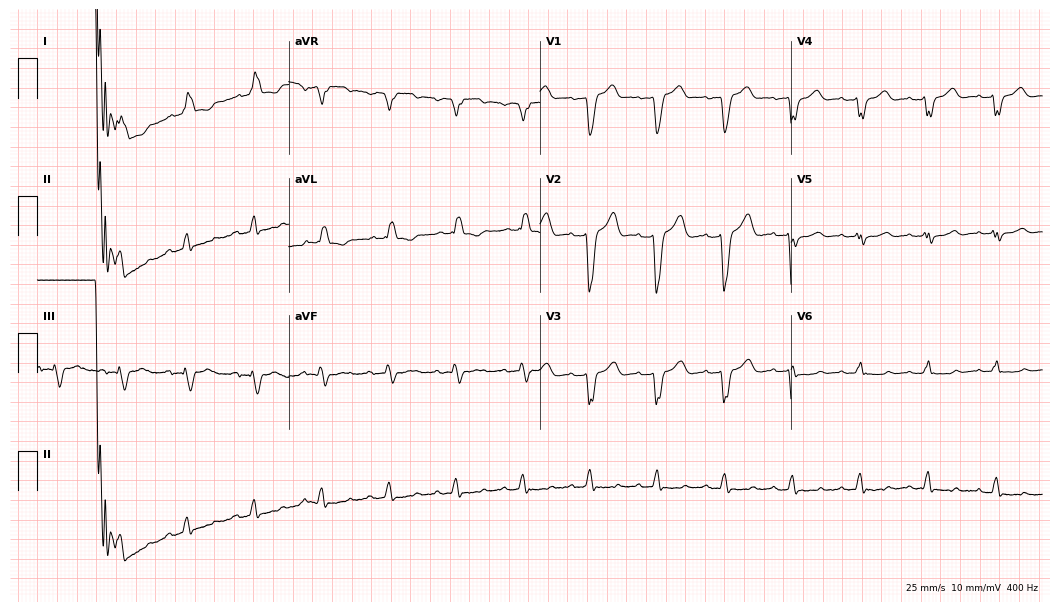
ECG — a woman, 78 years old. Screened for six findings — first-degree AV block, right bundle branch block (RBBB), left bundle branch block (LBBB), sinus bradycardia, atrial fibrillation (AF), sinus tachycardia — none is recorded.